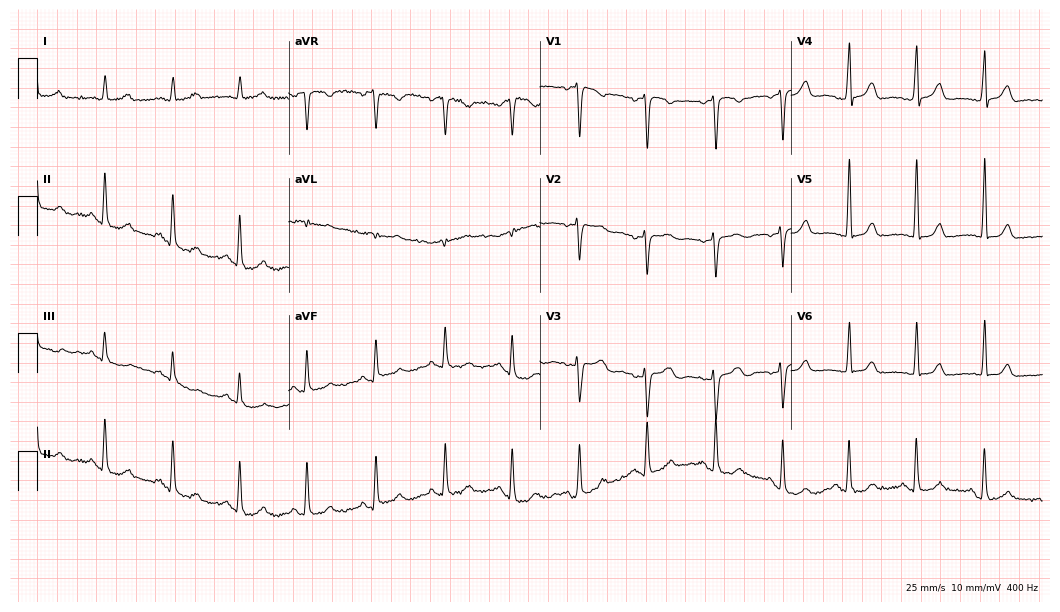
ECG — a woman, 39 years old. Labelled as a normal ECG.